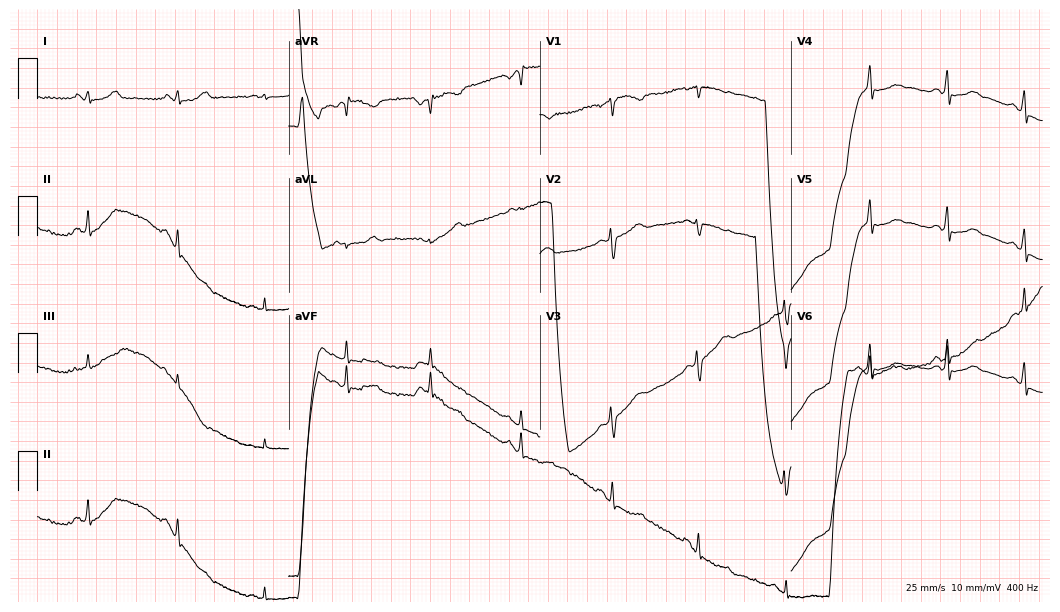
Resting 12-lead electrocardiogram (10.2-second recording at 400 Hz). Patient: a 52-year-old woman. None of these six findings is recorded: first-degree AV block, right bundle branch block (RBBB), left bundle branch block (LBBB), sinus bradycardia, atrial fibrillation (AF), sinus tachycardia.